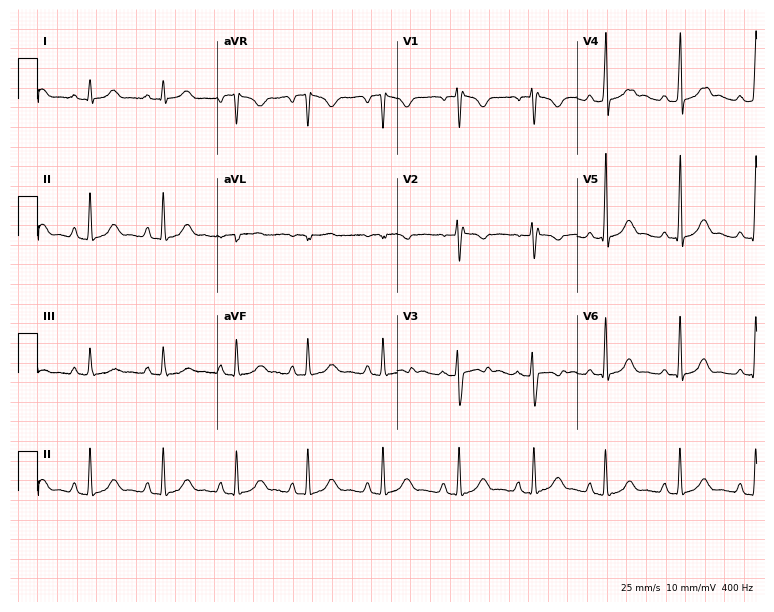
Standard 12-lead ECG recorded from a woman, 34 years old (7.3-second recording at 400 Hz). None of these six findings is recorded: first-degree AV block, right bundle branch block, left bundle branch block, sinus bradycardia, atrial fibrillation, sinus tachycardia.